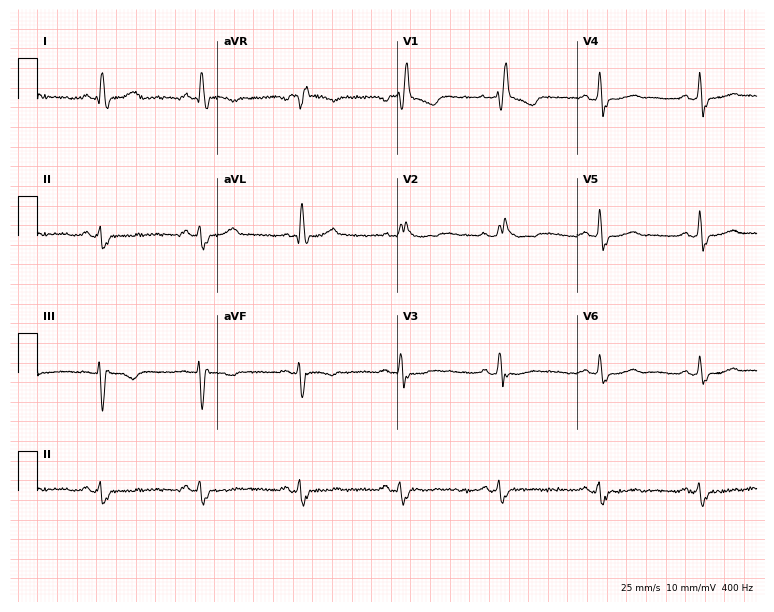
12-lead ECG (7.3-second recording at 400 Hz) from a woman, 74 years old. Findings include right bundle branch block (RBBB).